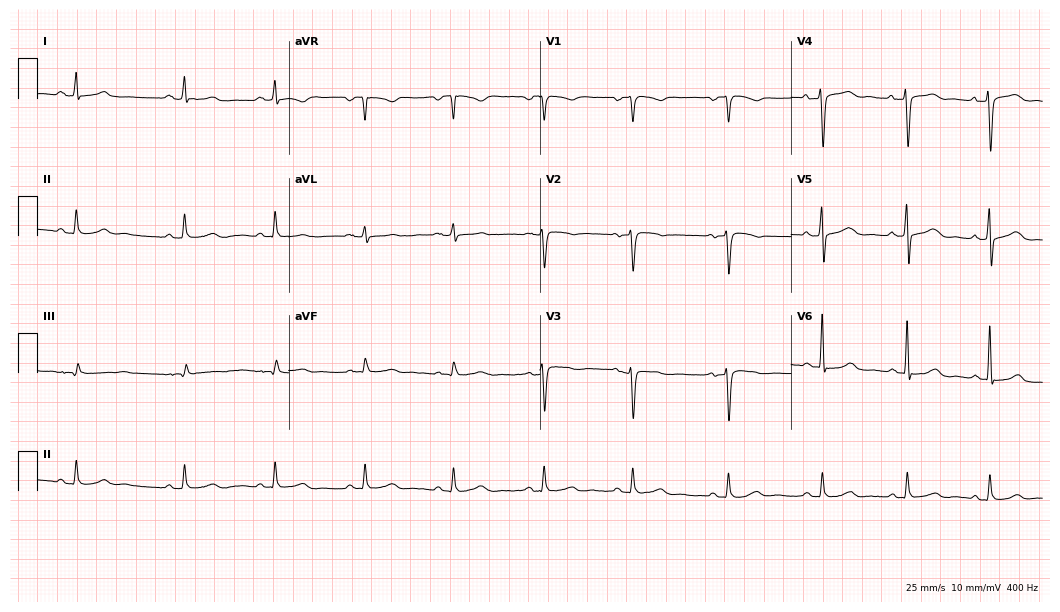
Resting 12-lead electrocardiogram (10.2-second recording at 400 Hz). Patient: a woman, 46 years old. None of these six findings is recorded: first-degree AV block, right bundle branch block, left bundle branch block, sinus bradycardia, atrial fibrillation, sinus tachycardia.